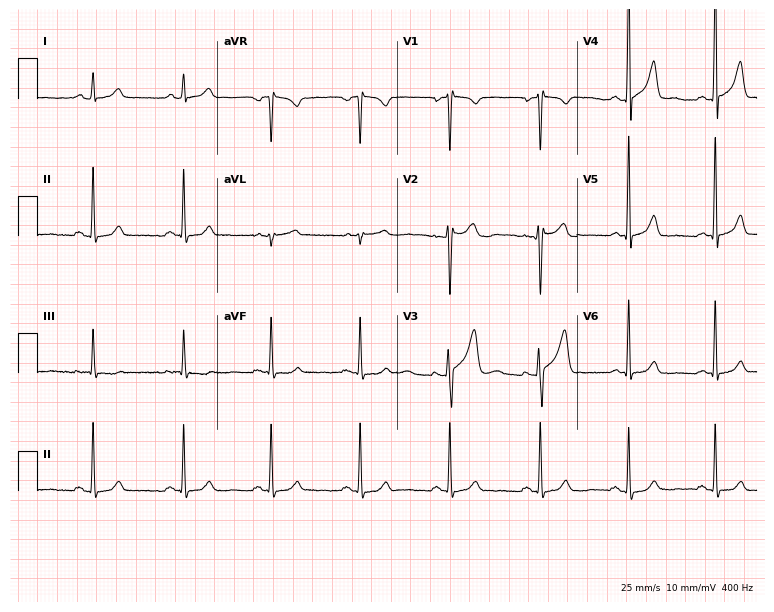
12-lead ECG from a man, 34 years old. Labelled as a normal ECG.